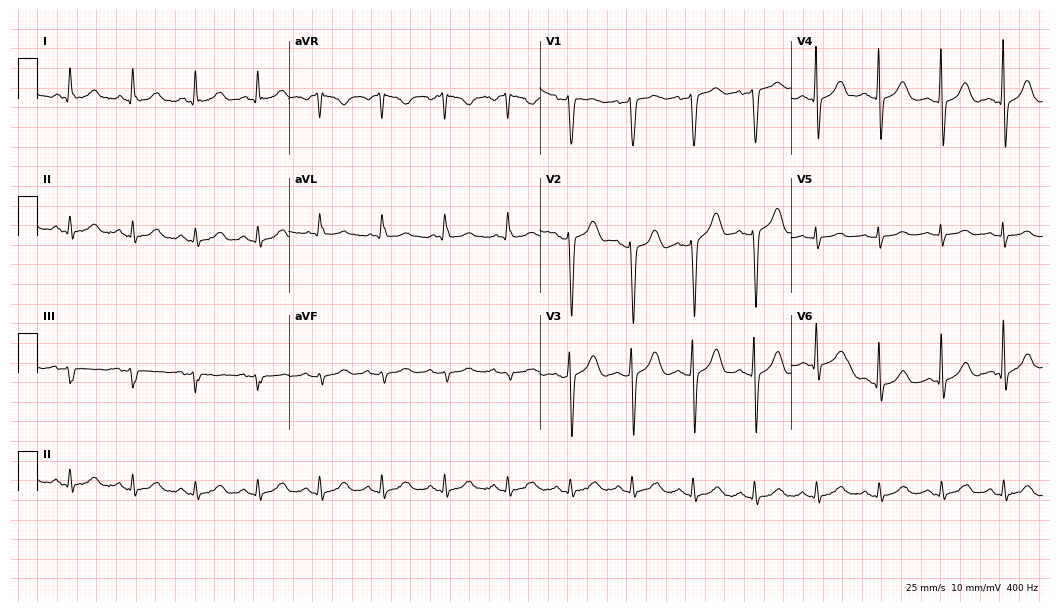
12-lead ECG from a 39-year-old male (10.2-second recording at 400 Hz). Recorded interpretation: within normal limits.